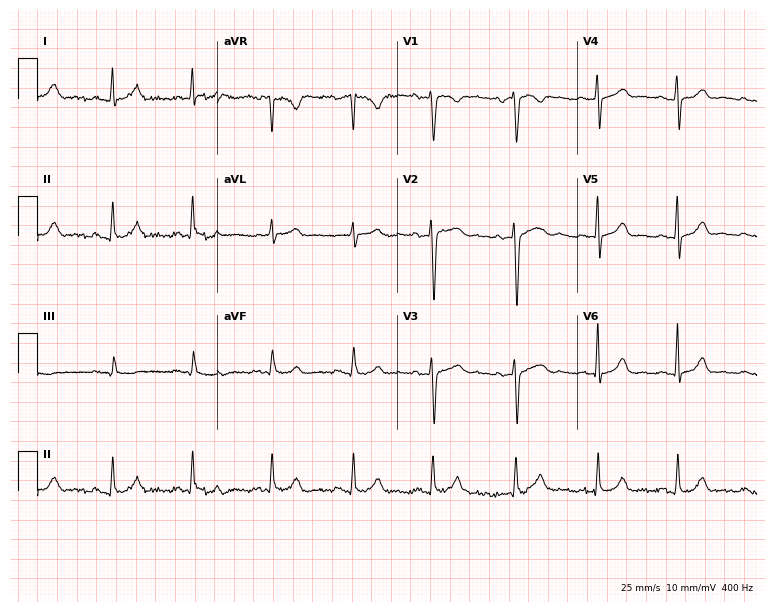
Resting 12-lead electrocardiogram. Patient: a female, 40 years old. Read as a normal ECG.